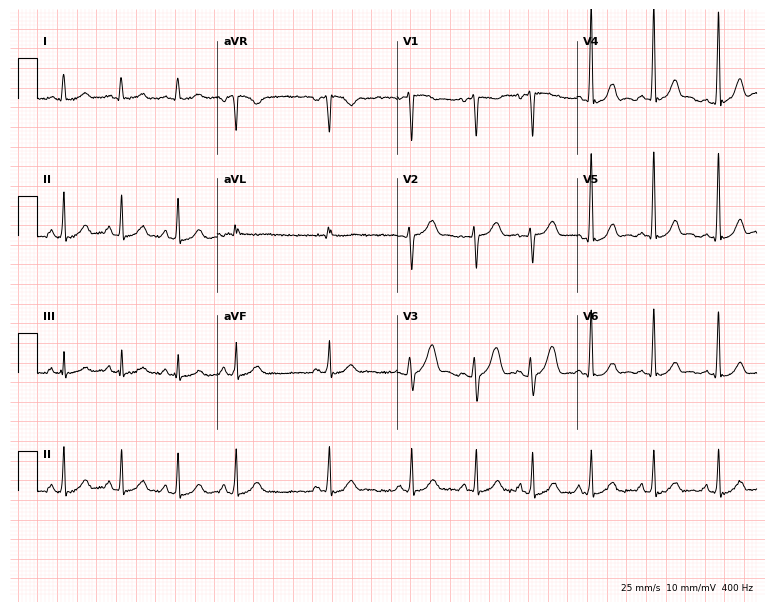
Electrocardiogram, a woman, 26 years old. Overall reading on record: normal ECG.